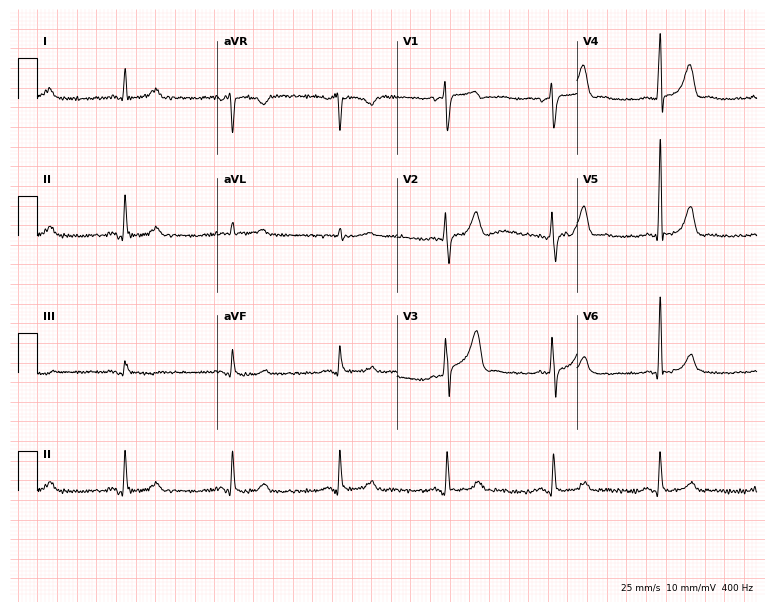
Electrocardiogram (7.3-second recording at 400 Hz), an 83-year-old male. Overall reading on record: normal ECG.